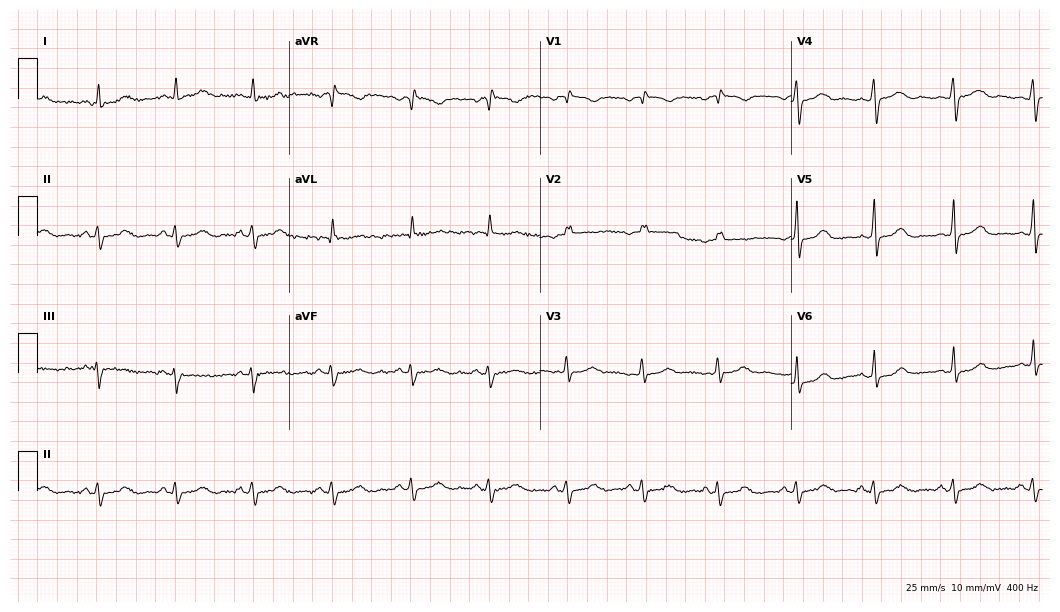
ECG — a woman, 45 years old. Screened for six findings — first-degree AV block, right bundle branch block, left bundle branch block, sinus bradycardia, atrial fibrillation, sinus tachycardia — none is recorded. Only these six findings were labelled.